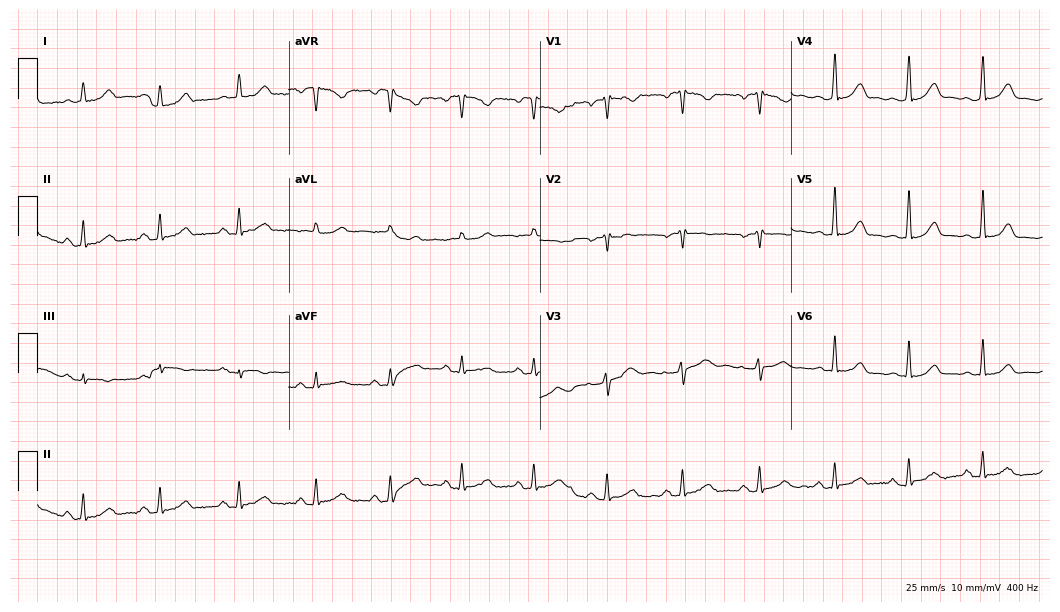
12-lead ECG from a 39-year-old female. Recorded interpretation: within normal limits.